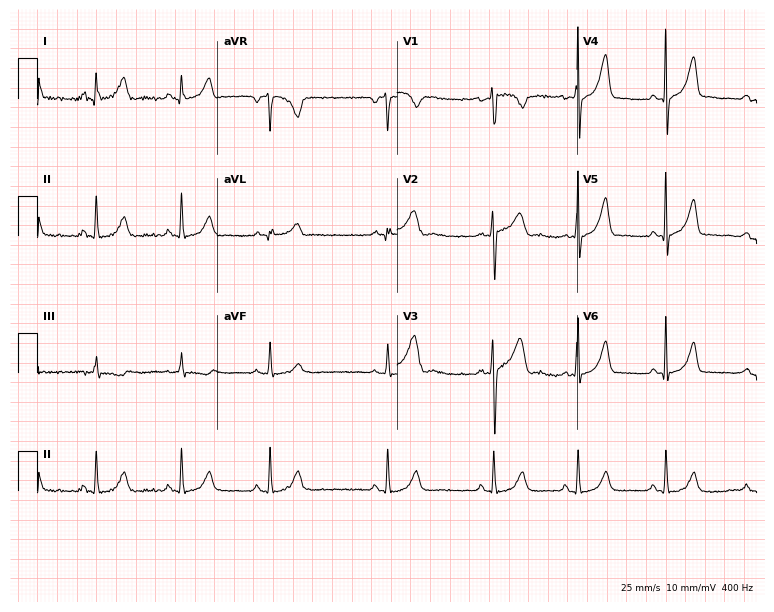
Electrocardiogram (7.3-second recording at 400 Hz), a 24-year-old female. Overall reading on record: normal ECG.